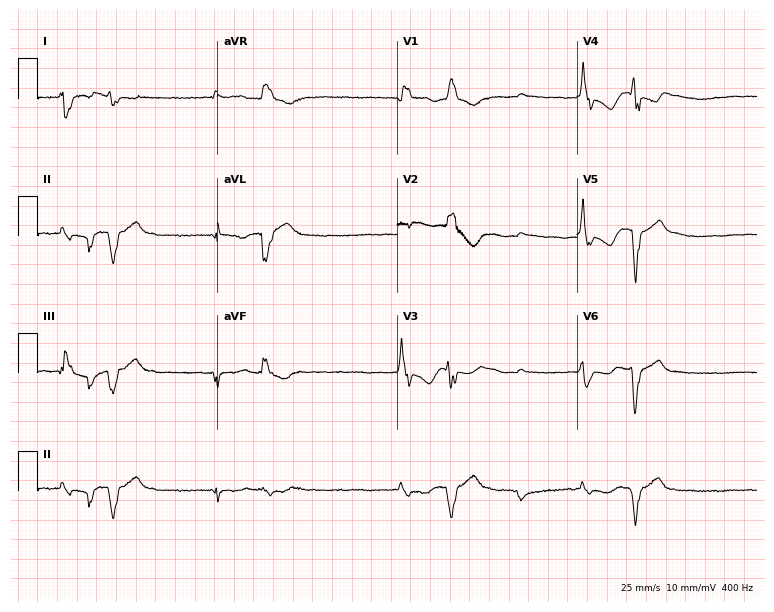
Resting 12-lead electrocardiogram (7.3-second recording at 400 Hz). Patient: a 69-year-old man. None of these six findings is recorded: first-degree AV block, right bundle branch block, left bundle branch block, sinus bradycardia, atrial fibrillation, sinus tachycardia. Other findings, if any, are not listed.